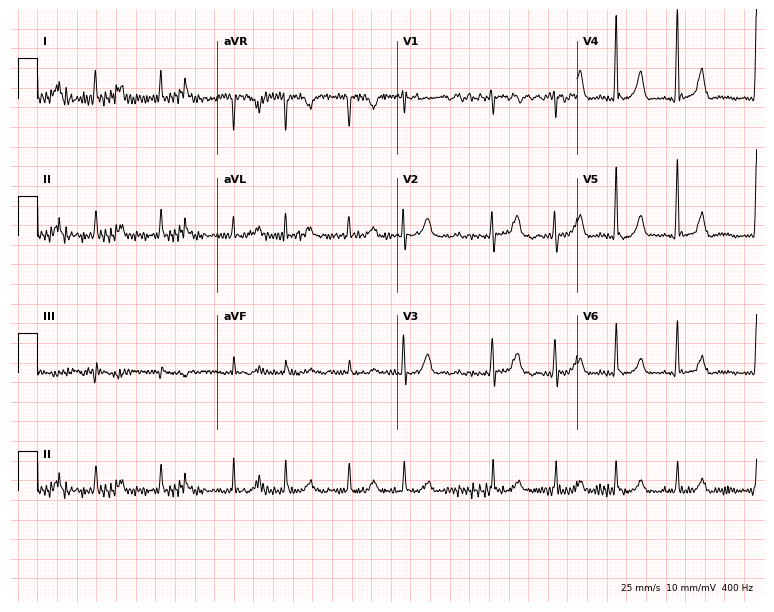
ECG — a woman, 69 years old. Screened for six findings — first-degree AV block, right bundle branch block, left bundle branch block, sinus bradycardia, atrial fibrillation, sinus tachycardia — none is recorded. Only these six findings were labelled.